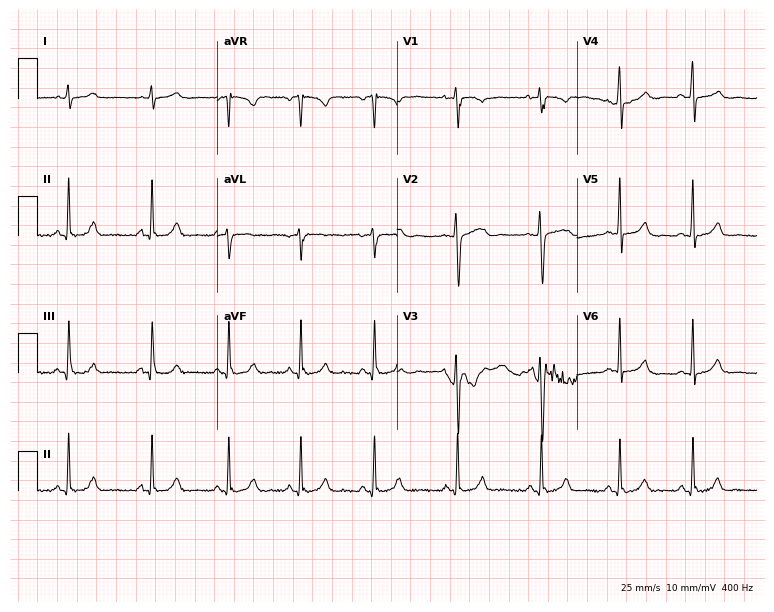
Standard 12-lead ECG recorded from a female, 22 years old (7.3-second recording at 400 Hz). Read as a normal ECG.